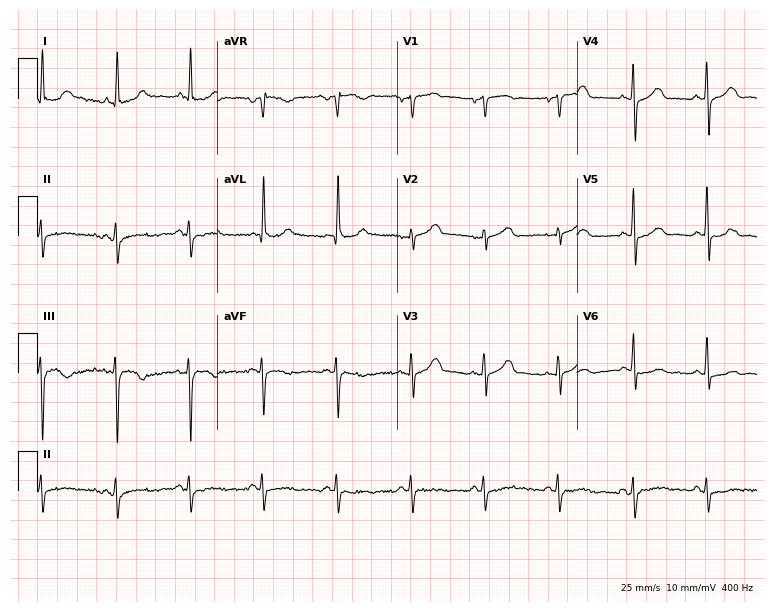
Standard 12-lead ECG recorded from an 83-year-old woman. None of these six findings is recorded: first-degree AV block, right bundle branch block (RBBB), left bundle branch block (LBBB), sinus bradycardia, atrial fibrillation (AF), sinus tachycardia.